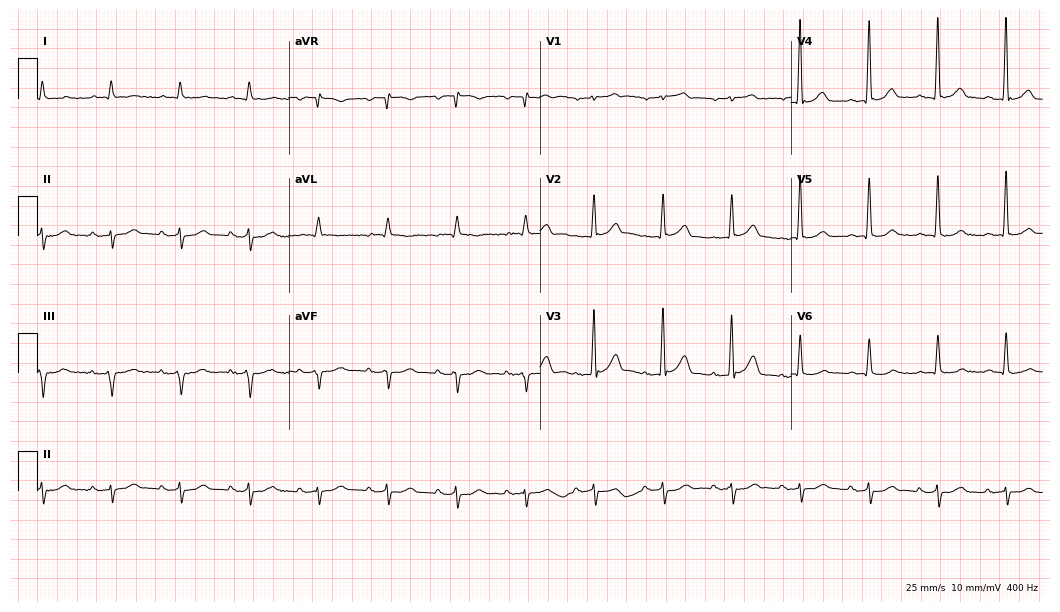
Resting 12-lead electrocardiogram. Patient: a man, 76 years old. None of these six findings is recorded: first-degree AV block, right bundle branch block, left bundle branch block, sinus bradycardia, atrial fibrillation, sinus tachycardia.